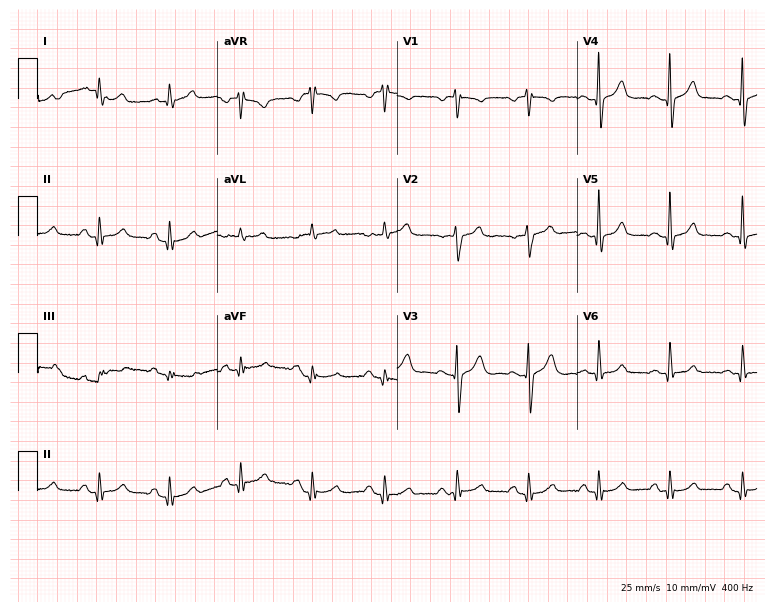
12-lead ECG from a male, 60 years old. Screened for six findings — first-degree AV block, right bundle branch block, left bundle branch block, sinus bradycardia, atrial fibrillation, sinus tachycardia — none is recorded.